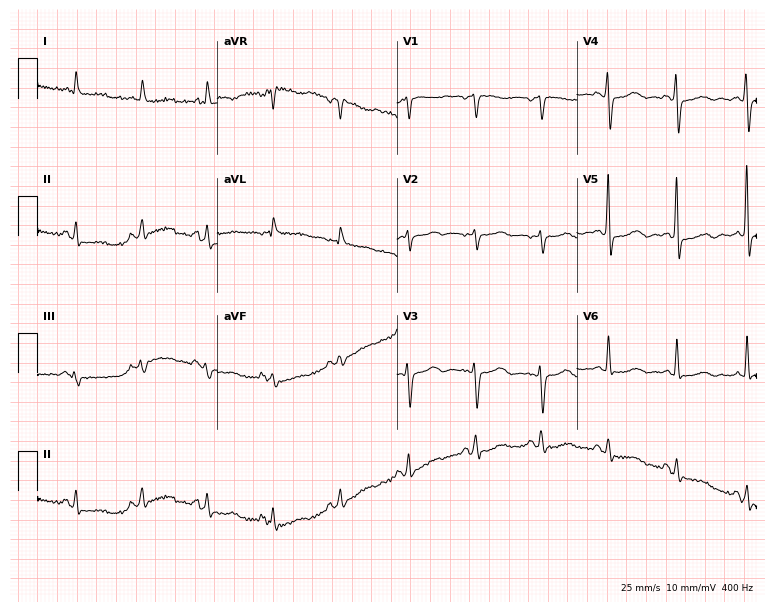
Resting 12-lead electrocardiogram. Patient: a female, 76 years old. None of these six findings is recorded: first-degree AV block, right bundle branch block, left bundle branch block, sinus bradycardia, atrial fibrillation, sinus tachycardia. Only these six findings were labelled.